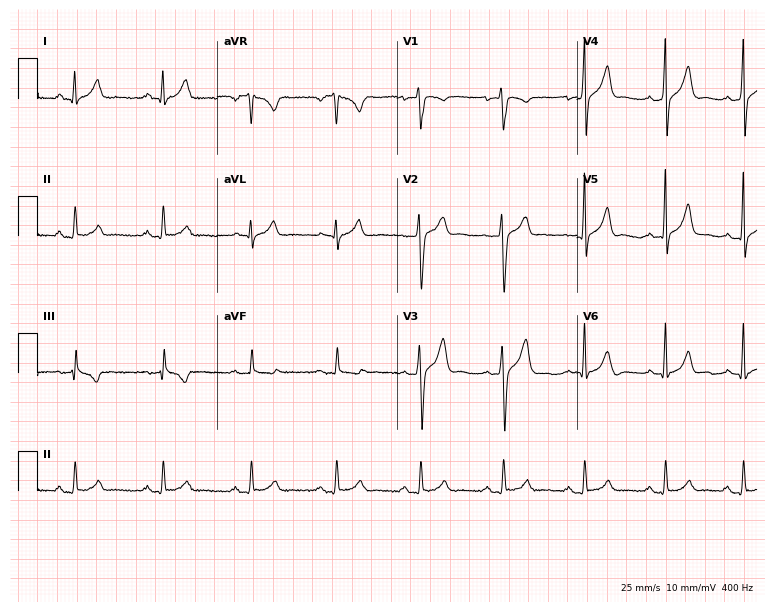
12-lead ECG from a male patient, 33 years old (7.3-second recording at 400 Hz). Recorded interpretation: within normal limits.